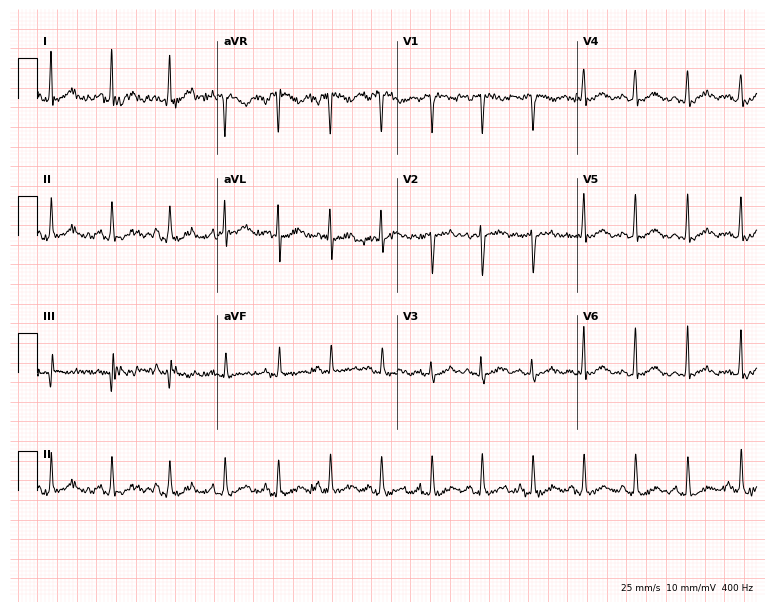
Electrocardiogram, a woman, 24 years old. Interpretation includes sinus tachycardia (a sinus rate of 100 beats per minute or more).